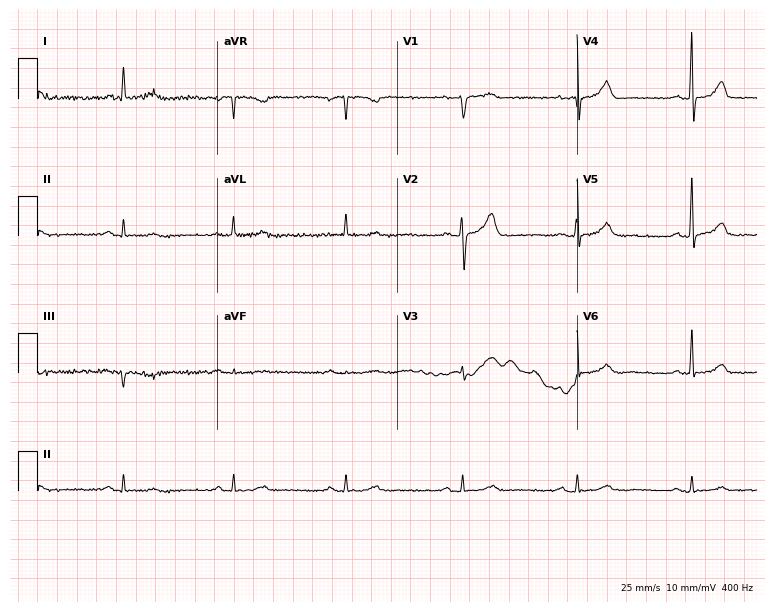
Electrocardiogram, a male, 77 years old. Of the six screened findings (first-degree AV block, right bundle branch block, left bundle branch block, sinus bradycardia, atrial fibrillation, sinus tachycardia), none is recorded.